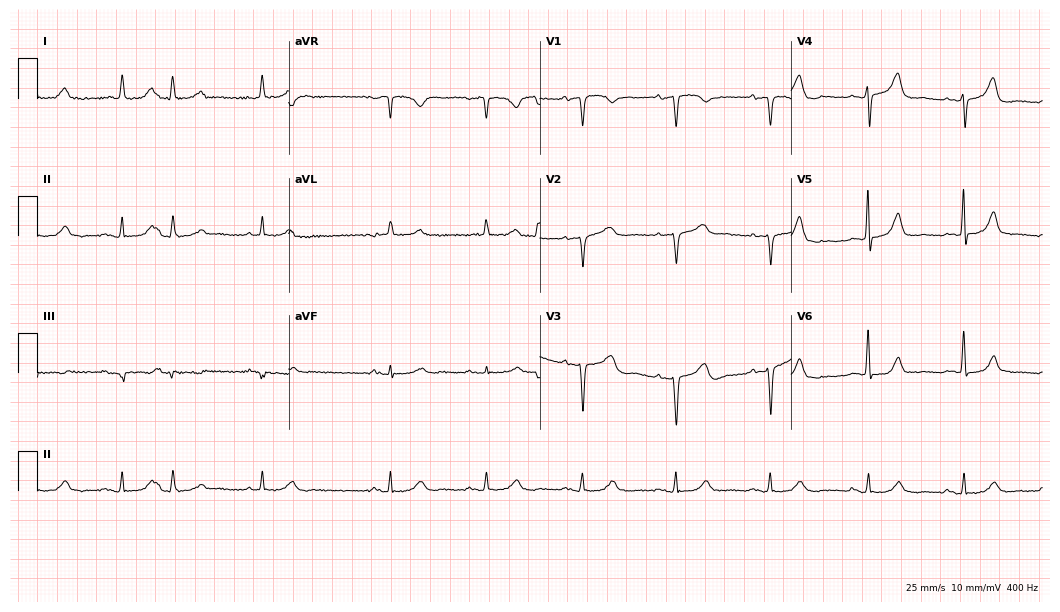
12-lead ECG (10.2-second recording at 400 Hz) from a 76-year-old female patient. Screened for six findings — first-degree AV block, right bundle branch block, left bundle branch block, sinus bradycardia, atrial fibrillation, sinus tachycardia — none is recorded. Other findings, if any, are not listed.